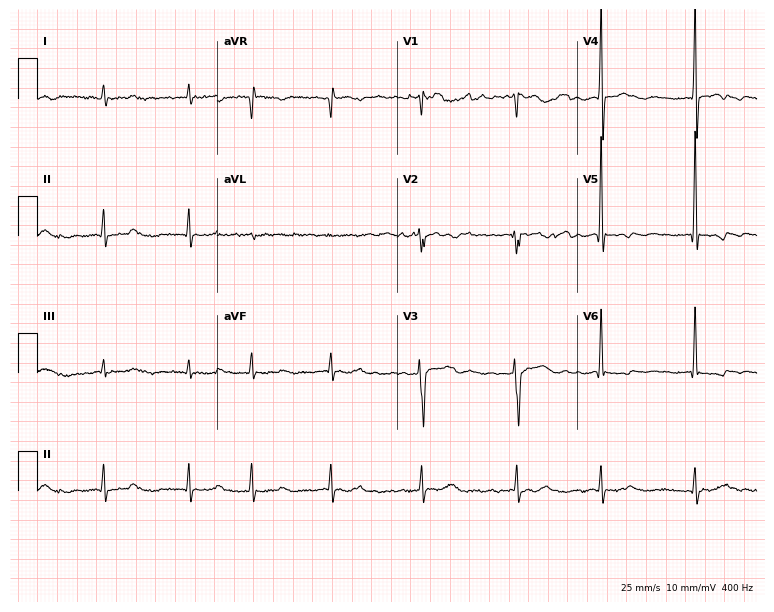
12-lead ECG (7.3-second recording at 400 Hz) from a male, 42 years old. Findings include atrial fibrillation (AF).